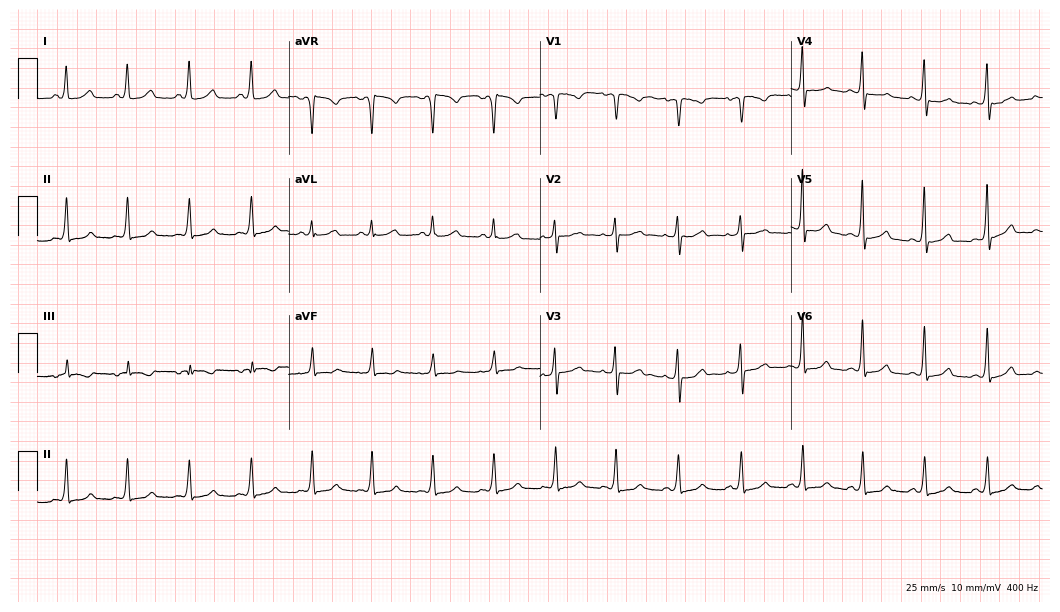
ECG (10.2-second recording at 400 Hz) — a female patient, 28 years old. Screened for six findings — first-degree AV block, right bundle branch block (RBBB), left bundle branch block (LBBB), sinus bradycardia, atrial fibrillation (AF), sinus tachycardia — none is recorded. Findings outside these six are not listed.